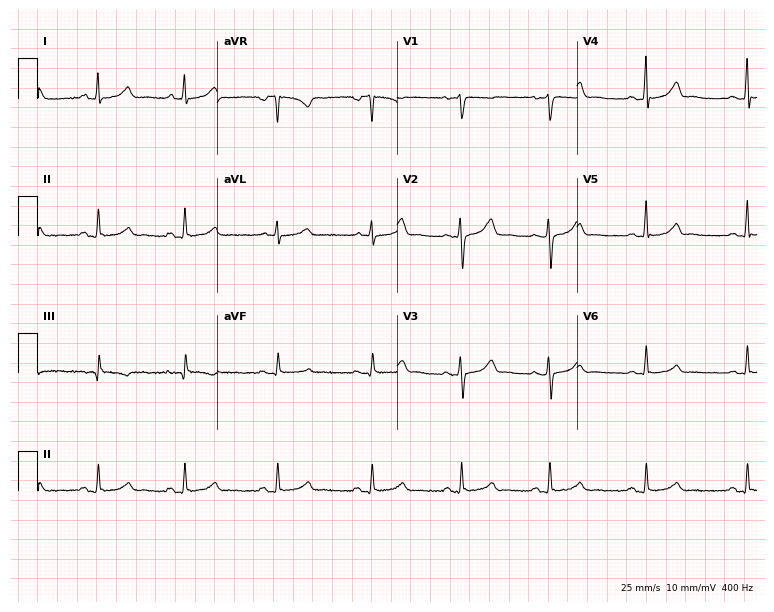
Standard 12-lead ECG recorded from a 43-year-old woman (7.3-second recording at 400 Hz). Read as a normal ECG.